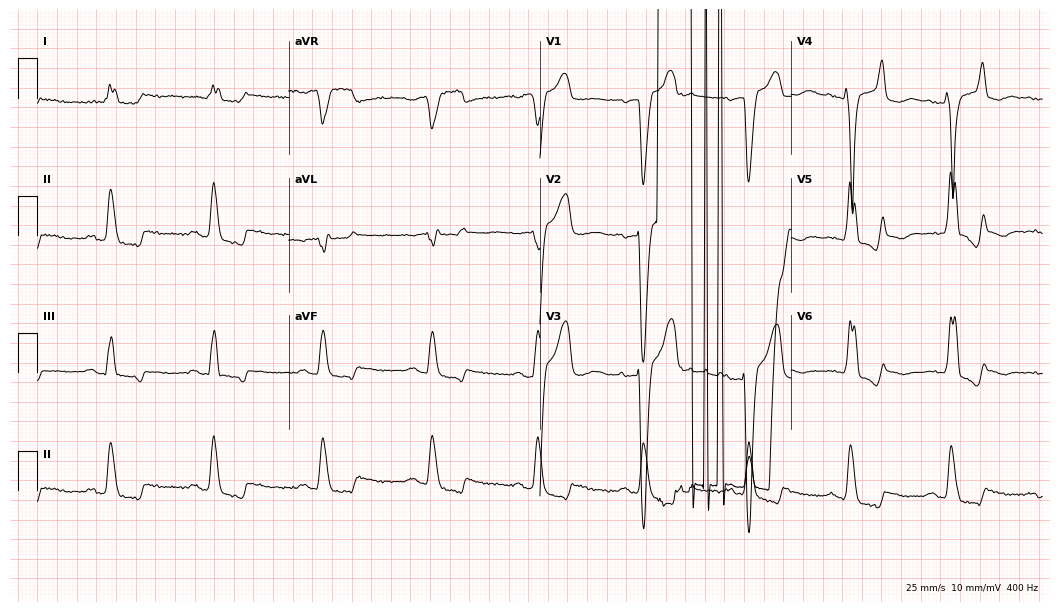
ECG — a male, 76 years old. Findings include first-degree AV block, left bundle branch block.